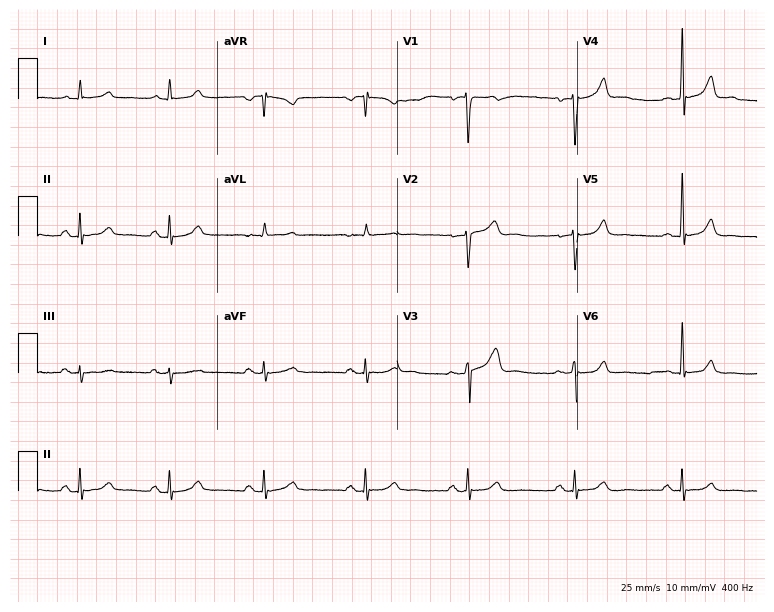
Resting 12-lead electrocardiogram. Patient: a man, 54 years old. Read as a normal ECG.